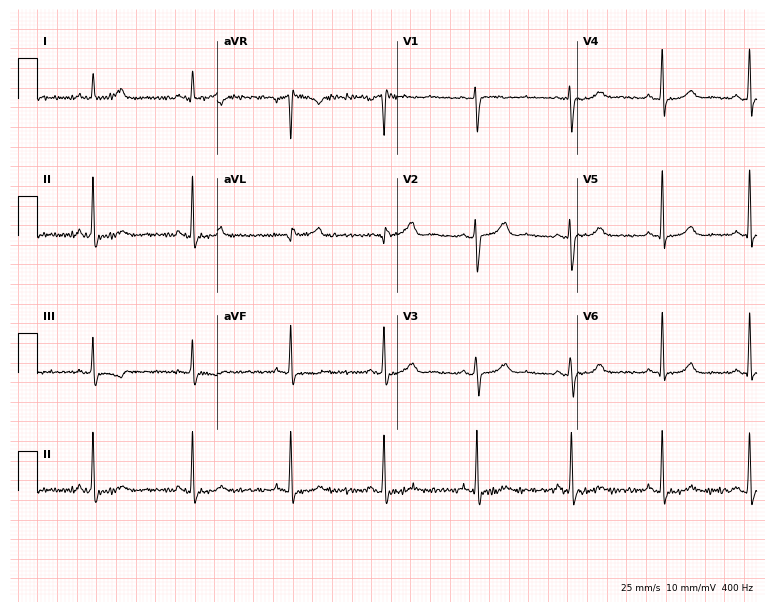
Resting 12-lead electrocardiogram (7.3-second recording at 400 Hz). Patient: a 37-year-old female. Read as a normal ECG.